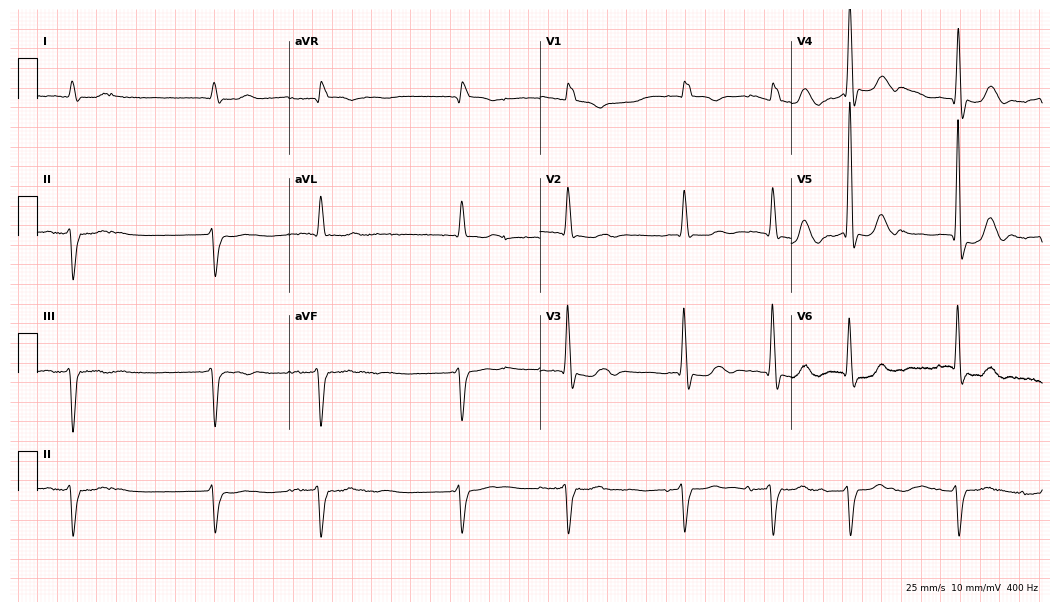
Standard 12-lead ECG recorded from a 74-year-old male patient. None of these six findings is recorded: first-degree AV block, right bundle branch block, left bundle branch block, sinus bradycardia, atrial fibrillation, sinus tachycardia.